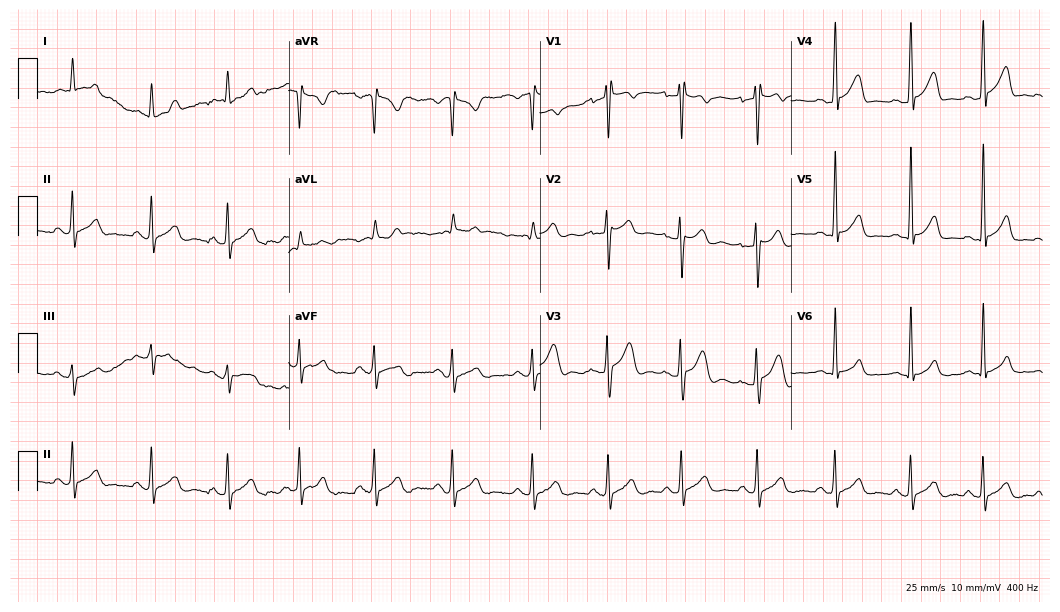
Standard 12-lead ECG recorded from a male patient, 20 years old. Read as a normal ECG.